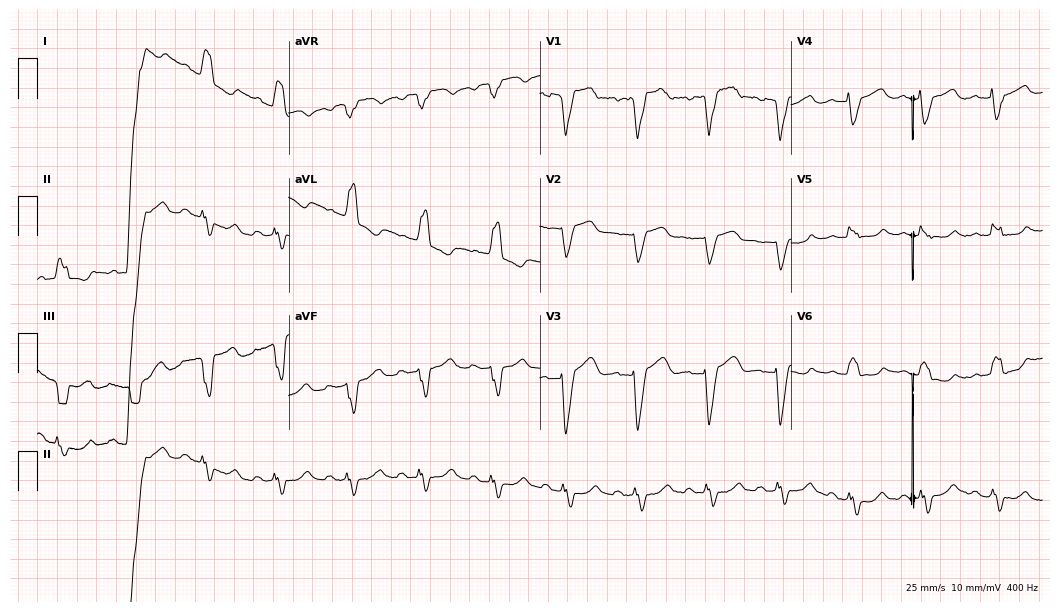
Standard 12-lead ECG recorded from a 79-year-old woman. The tracing shows left bundle branch block (LBBB).